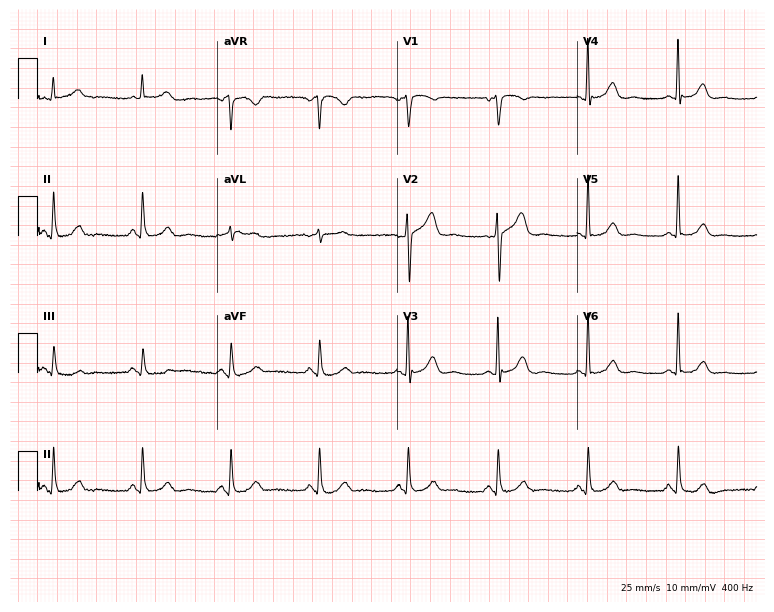
12-lead ECG (7.3-second recording at 400 Hz) from a man, 73 years old. Labelled as a normal ECG.